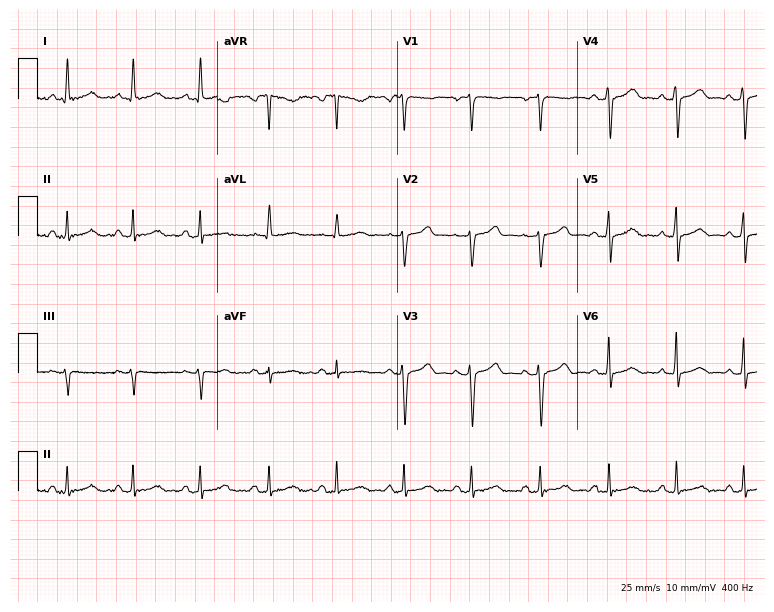
Standard 12-lead ECG recorded from a 50-year-old female. Read as a normal ECG.